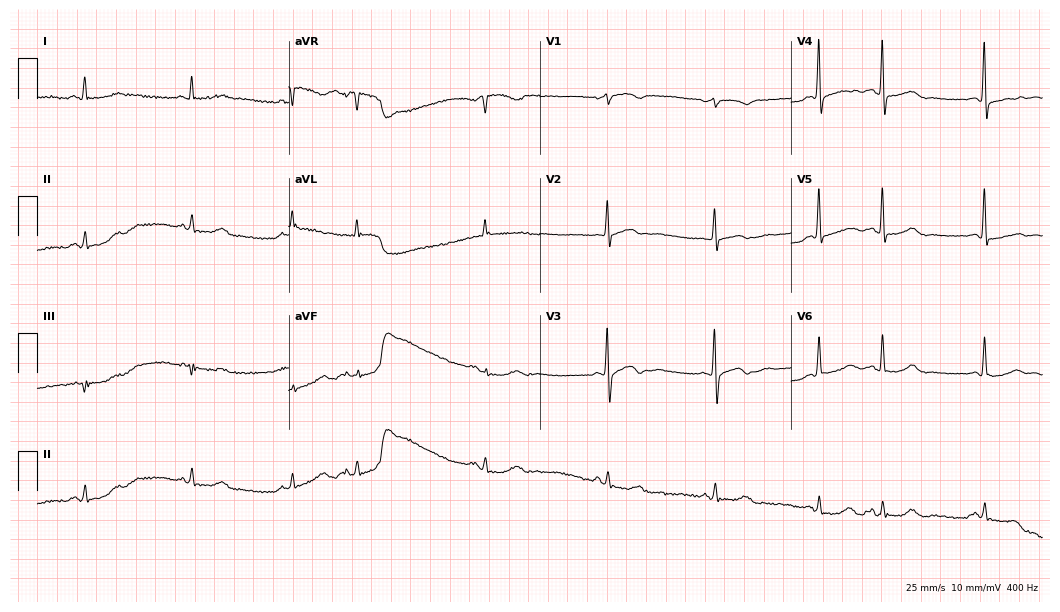
Standard 12-lead ECG recorded from a 58-year-old female patient (10.2-second recording at 400 Hz). None of these six findings is recorded: first-degree AV block, right bundle branch block, left bundle branch block, sinus bradycardia, atrial fibrillation, sinus tachycardia.